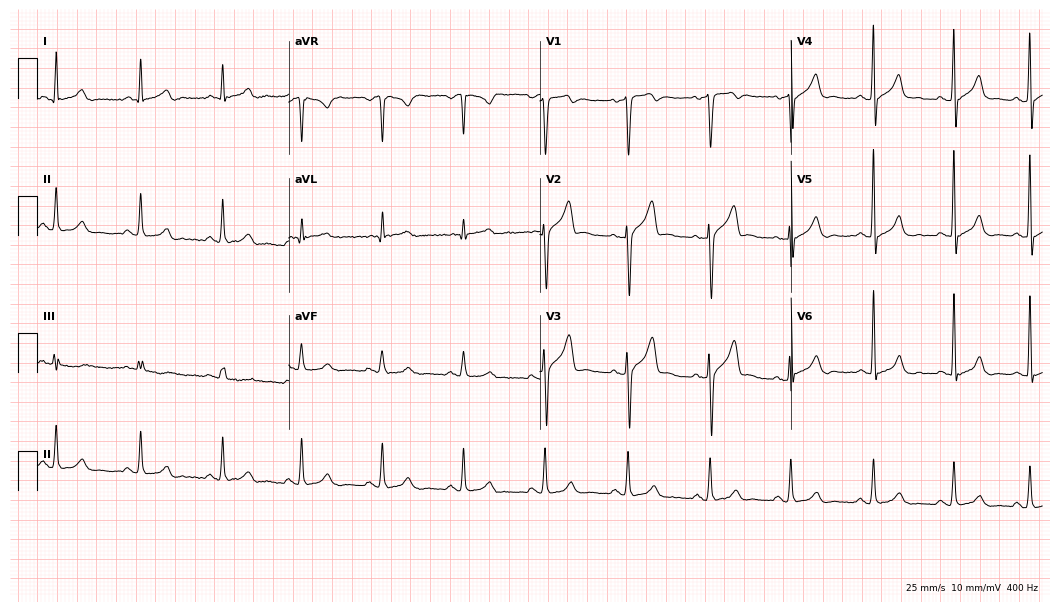
12-lead ECG from a 38-year-old male patient. Recorded interpretation: within normal limits.